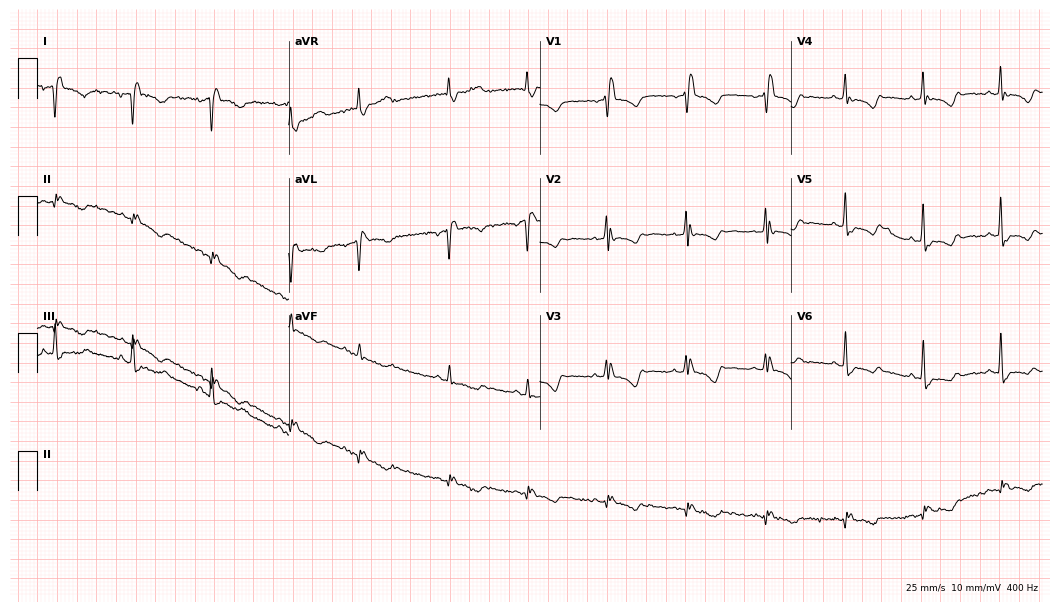
Resting 12-lead electrocardiogram. Patient: a woman, 72 years old. None of these six findings is recorded: first-degree AV block, right bundle branch block, left bundle branch block, sinus bradycardia, atrial fibrillation, sinus tachycardia. Only these six findings were labelled.